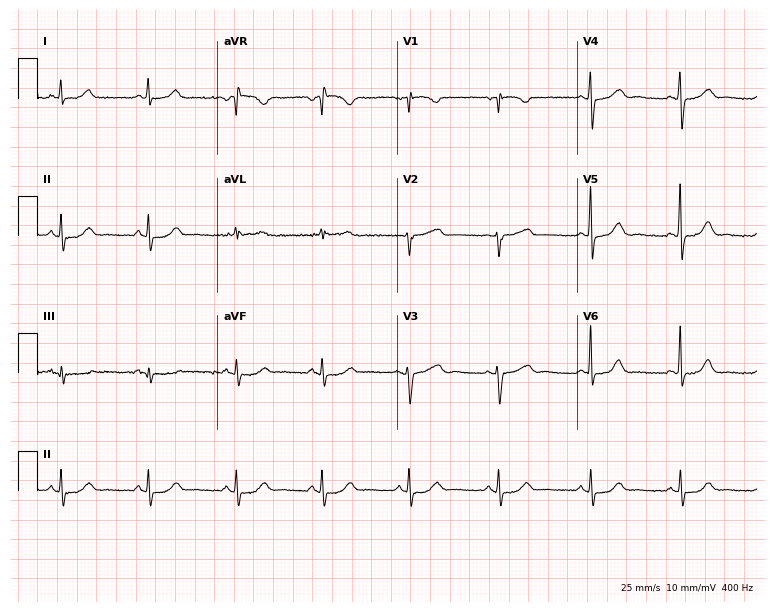
12-lead ECG from a female, 54 years old. Recorded interpretation: within normal limits.